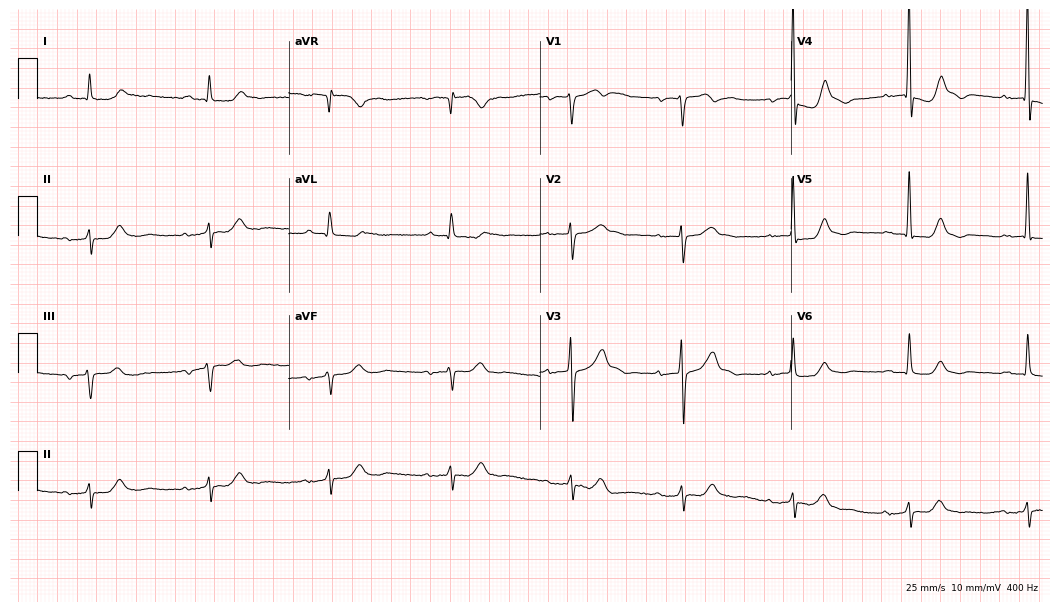
Standard 12-lead ECG recorded from a male patient, 76 years old (10.2-second recording at 400 Hz). The tracing shows first-degree AV block, sinus bradycardia (a sinus rate of 50 beats per minute or less).